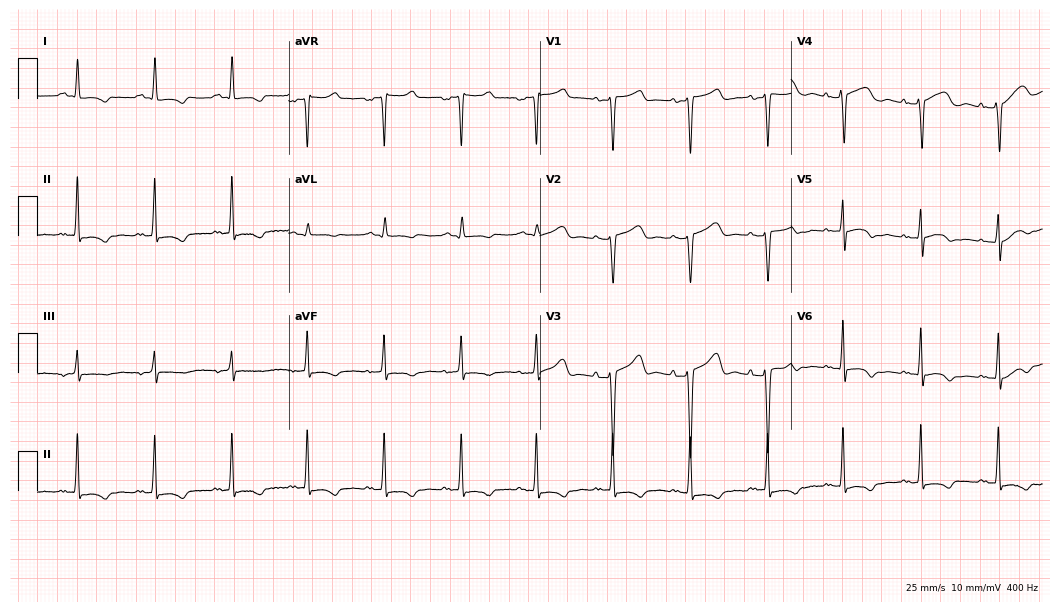
12-lead ECG from a 27-year-old female (10.2-second recording at 400 Hz). No first-degree AV block, right bundle branch block, left bundle branch block, sinus bradycardia, atrial fibrillation or sinus tachycardia recorded for this tracing. Findings outside these six are not listed.